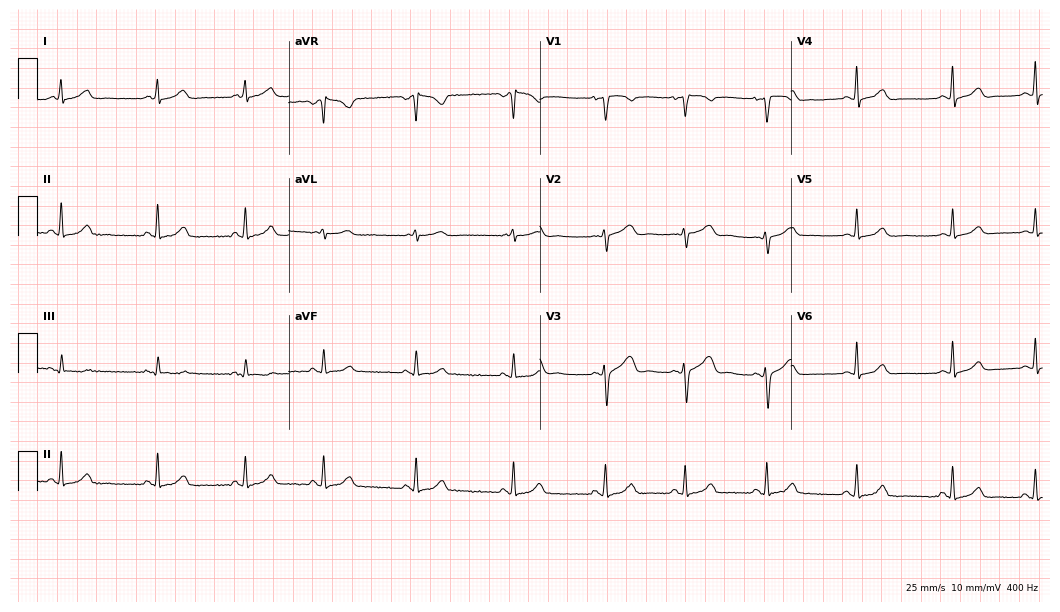
ECG — a 22-year-old female patient. Labelled as a normal ECG.